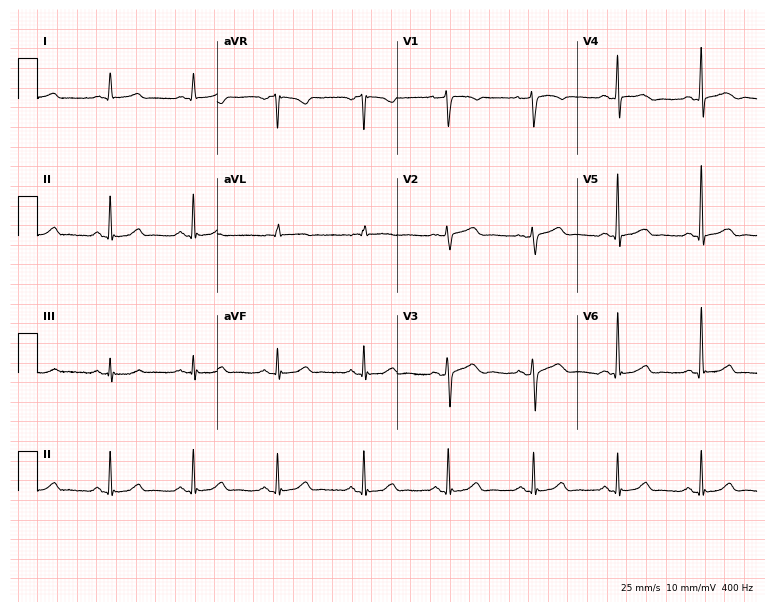
Electrocardiogram (7.3-second recording at 400 Hz), a female patient, 66 years old. Overall reading on record: normal ECG.